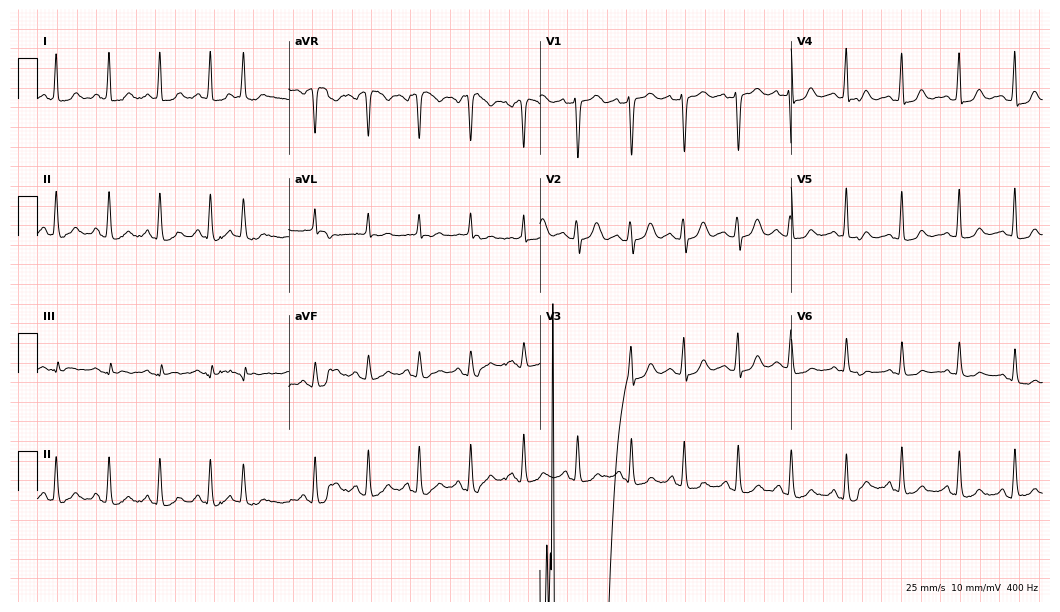
Standard 12-lead ECG recorded from a 42-year-old female patient (10.2-second recording at 400 Hz). The tracing shows sinus tachycardia (a sinus rate of 100 beats per minute or more).